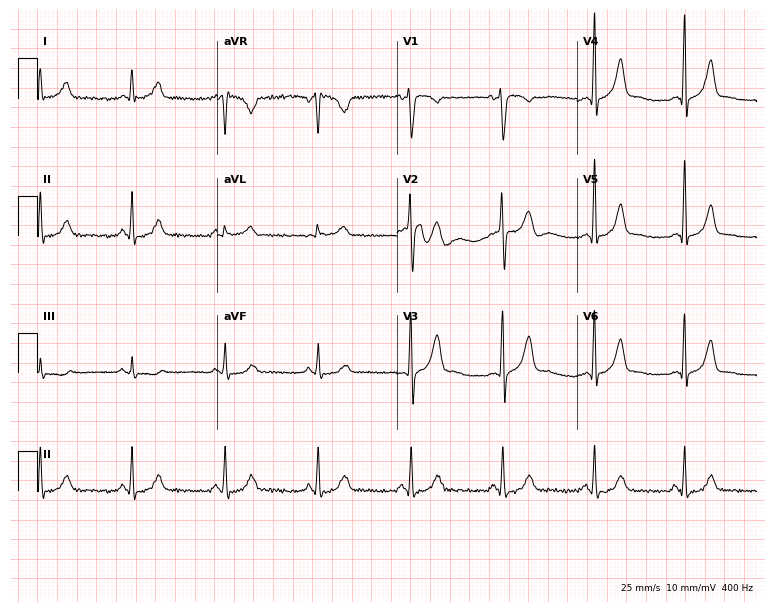
Resting 12-lead electrocardiogram. Patient: a 46-year-old male. None of these six findings is recorded: first-degree AV block, right bundle branch block, left bundle branch block, sinus bradycardia, atrial fibrillation, sinus tachycardia. Findings outside these six are not listed.